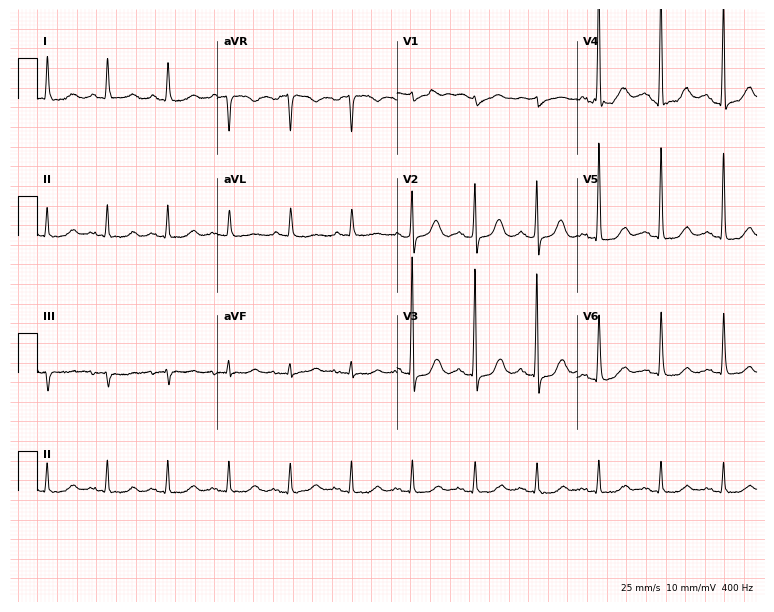
Electrocardiogram, an 82-year-old woman. Overall reading on record: normal ECG.